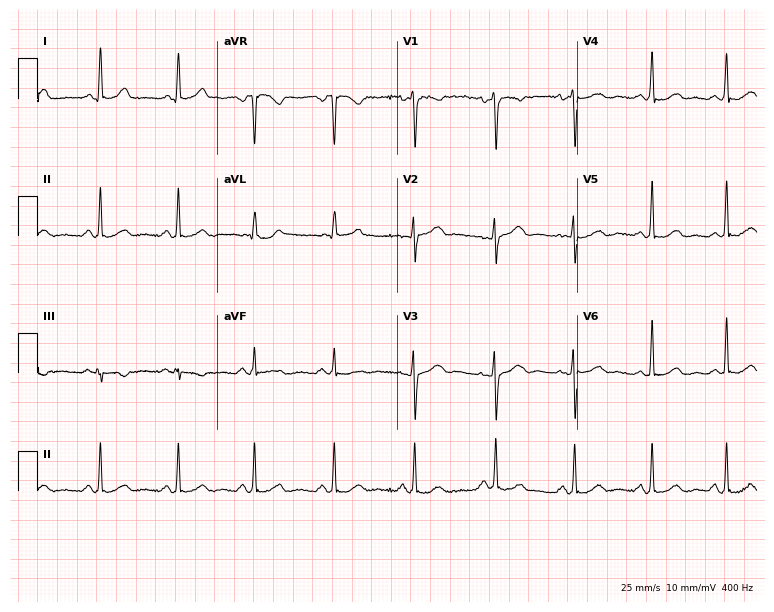
Standard 12-lead ECG recorded from a female, 34 years old (7.3-second recording at 400 Hz). Read as a normal ECG.